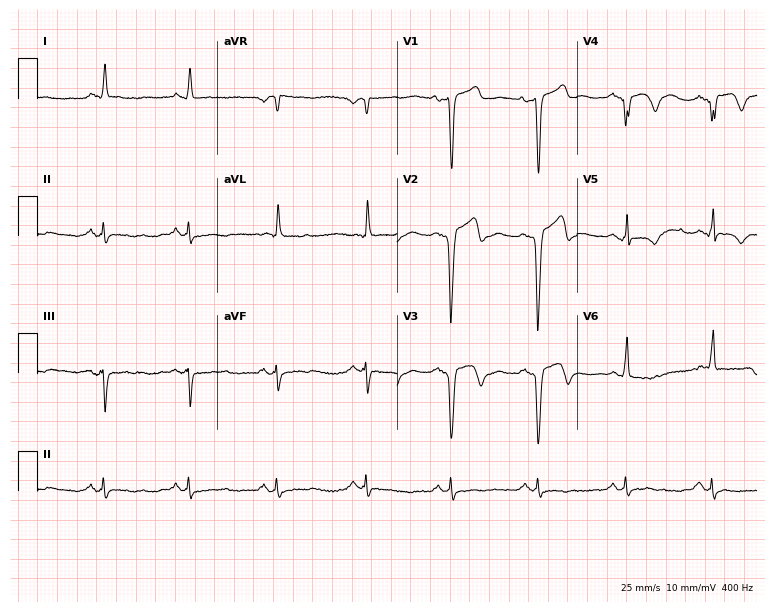
ECG (7.3-second recording at 400 Hz) — a man, 74 years old. Screened for six findings — first-degree AV block, right bundle branch block, left bundle branch block, sinus bradycardia, atrial fibrillation, sinus tachycardia — none is recorded.